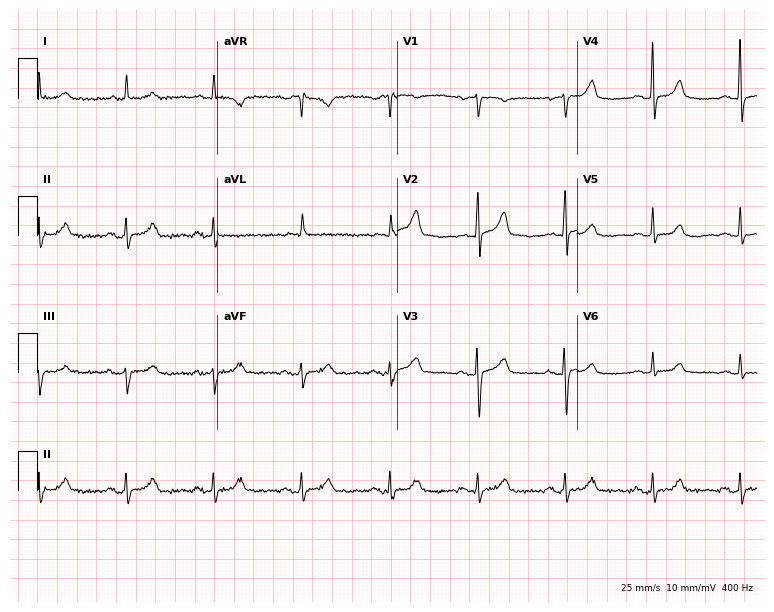
12-lead ECG from a 77-year-old woman (7.3-second recording at 400 Hz). Recorded interpretation: within normal limits.